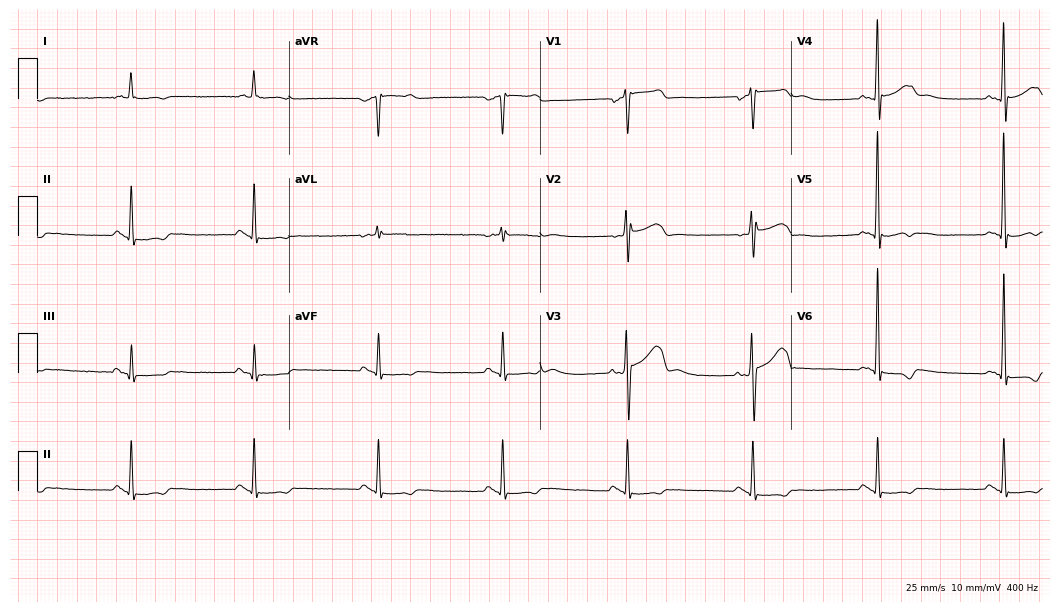
Resting 12-lead electrocardiogram. Patient: a 73-year-old male. The tracing shows right bundle branch block, sinus bradycardia (a sinus rate of 50 beats per minute or less).